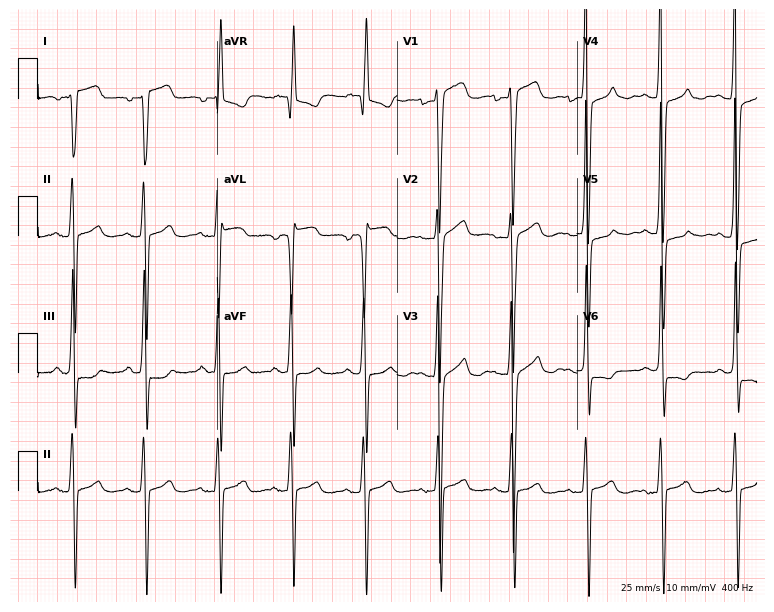
Standard 12-lead ECG recorded from a 62-year-old woman (7.3-second recording at 400 Hz). None of these six findings is recorded: first-degree AV block, right bundle branch block, left bundle branch block, sinus bradycardia, atrial fibrillation, sinus tachycardia.